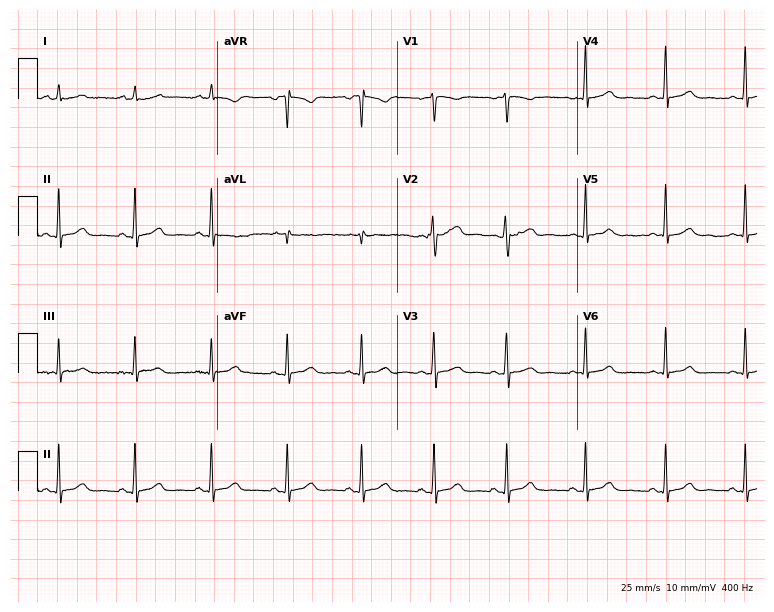
ECG — a 45-year-old female patient. Labelled as a normal ECG.